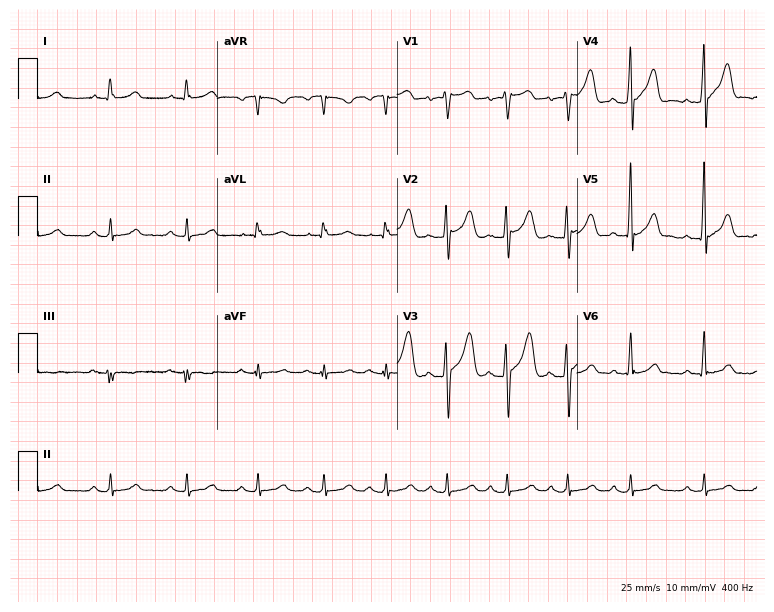
Electrocardiogram, a male patient, 46 years old. Overall reading on record: normal ECG.